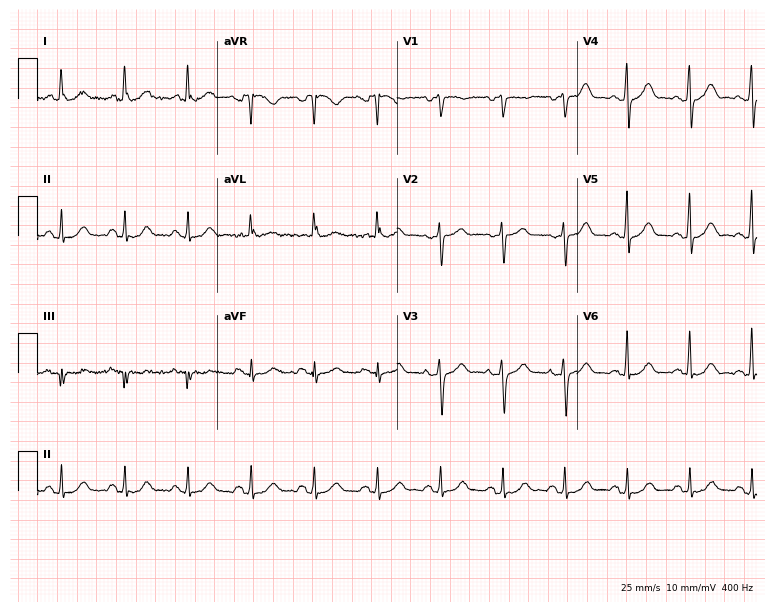
12-lead ECG from a 64-year-old woman (7.3-second recording at 400 Hz). Recorded interpretation: within normal limits.